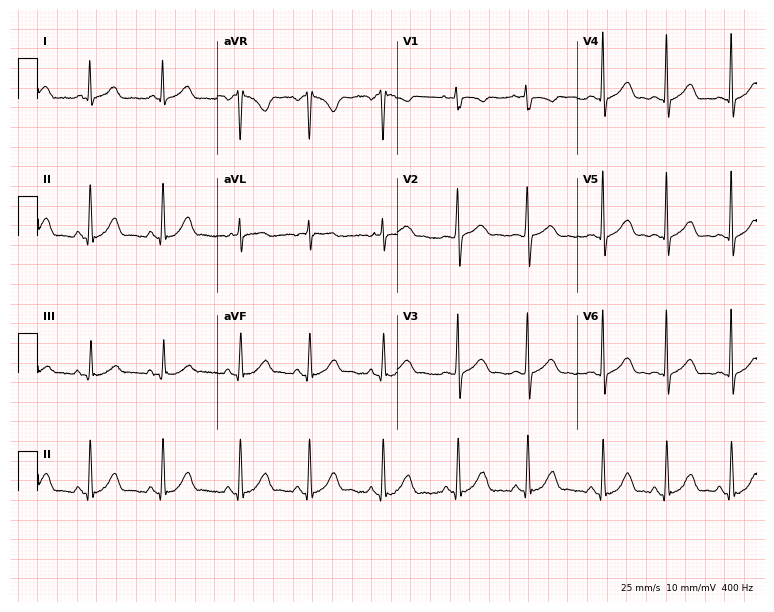
Standard 12-lead ECG recorded from a 25-year-old female (7.3-second recording at 400 Hz). None of these six findings is recorded: first-degree AV block, right bundle branch block, left bundle branch block, sinus bradycardia, atrial fibrillation, sinus tachycardia.